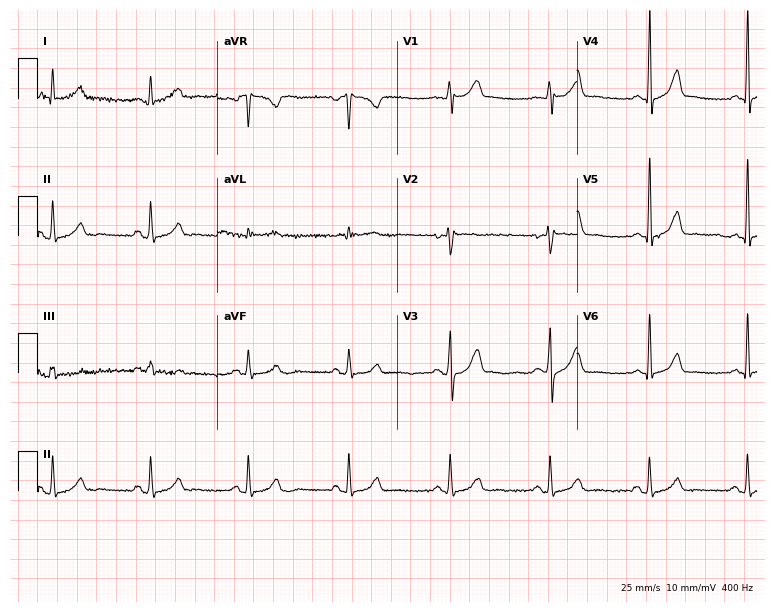
Standard 12-lead ECG recorded from a man, 48 years old. Read as a normal ECG.